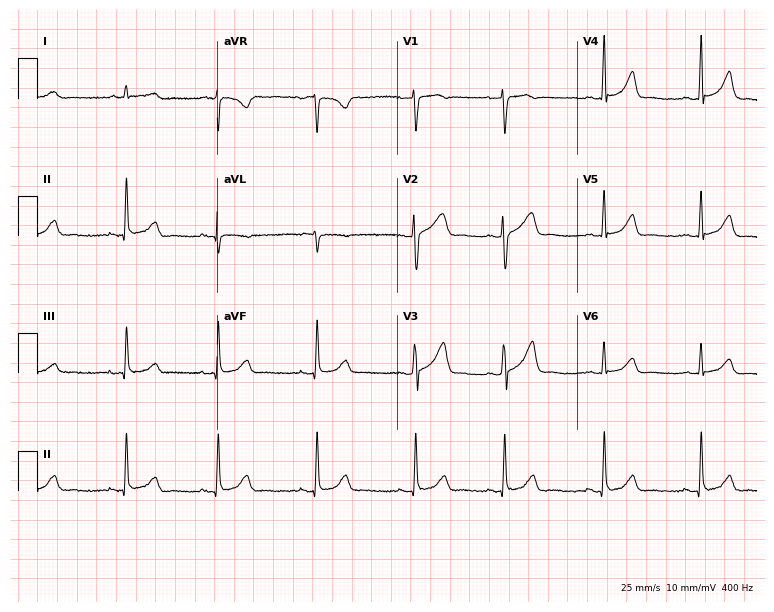
Resting 12-lead electrocardiogram (7.3-second recording at 400 Hz). Patient: a 30-year-old female. Read as a normal ECG.